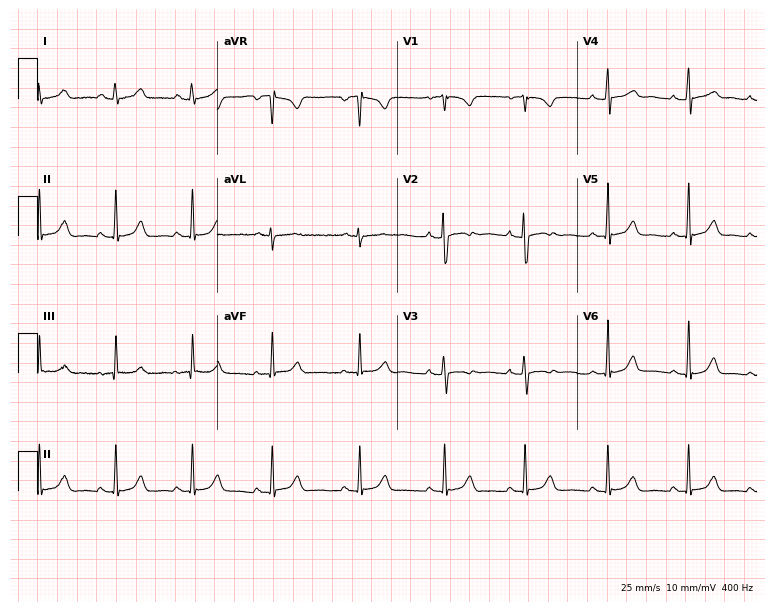
Standard 12-lead ECG recorded from a 24-year-old female (7.3-second recording at 400 Hz). Read as a normal ECG.